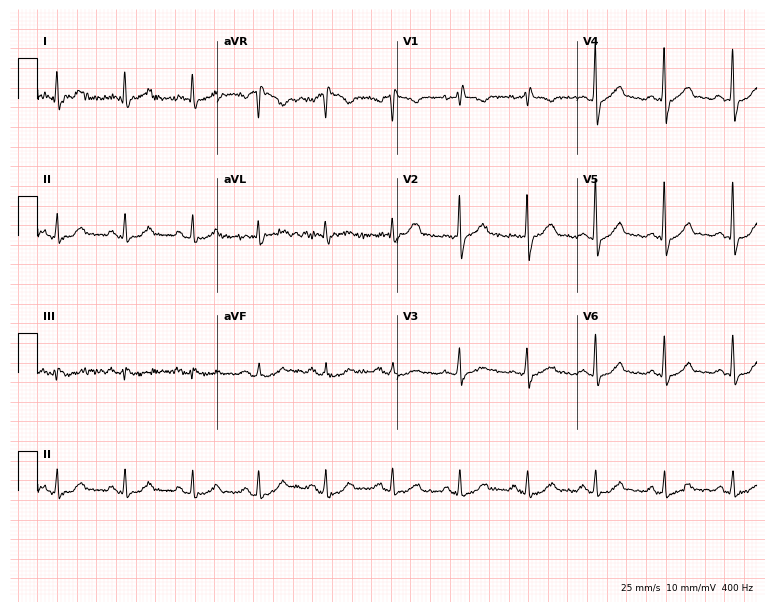
12-lead ECG from a male patient, 78 years old. Labelled as a normal ECG.